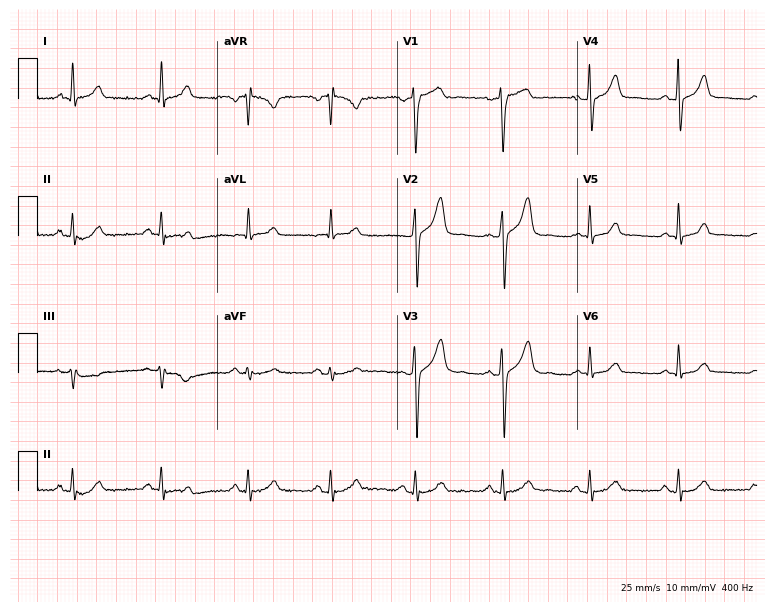
Electrocardiogram, a male, 46 years old. Of the six screened findings (first-degree AV block, right bundle branch block, left bundle branch block, sinus bradycardia, atrial fibrillation, sinus tachycardia), none is recorded. Only these six findings were labelled.